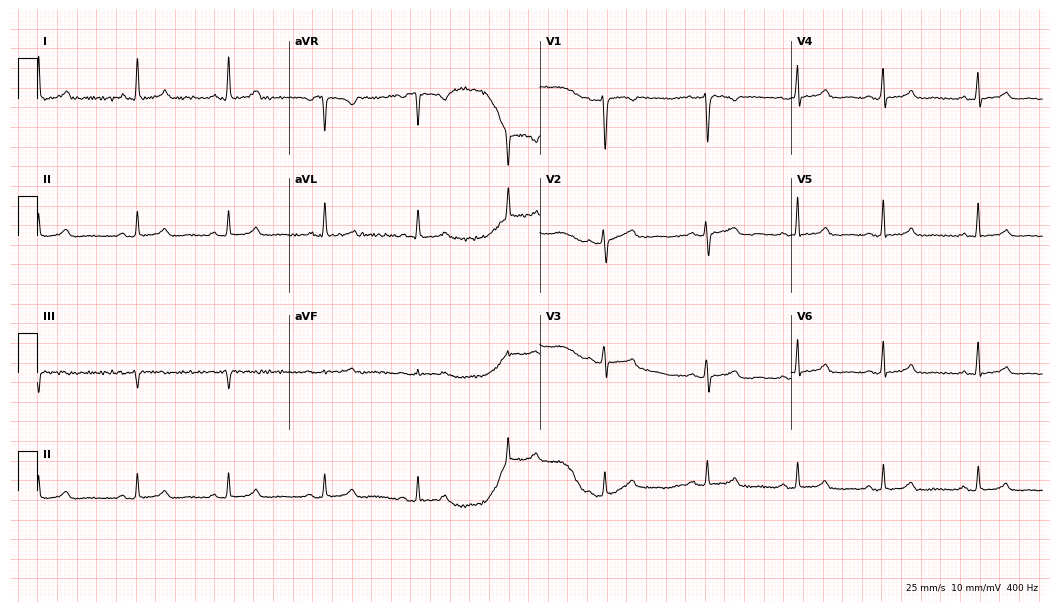
Electrocardiogram (10.2-second recording at 400 Hz), a 36-year-old female patient. Of the six screened findings (first-degree AV block, right bundle branch block, left bundle branch block, sinus bradycardia, atrial fibrillation, sinus tachycardia), none is recorded.